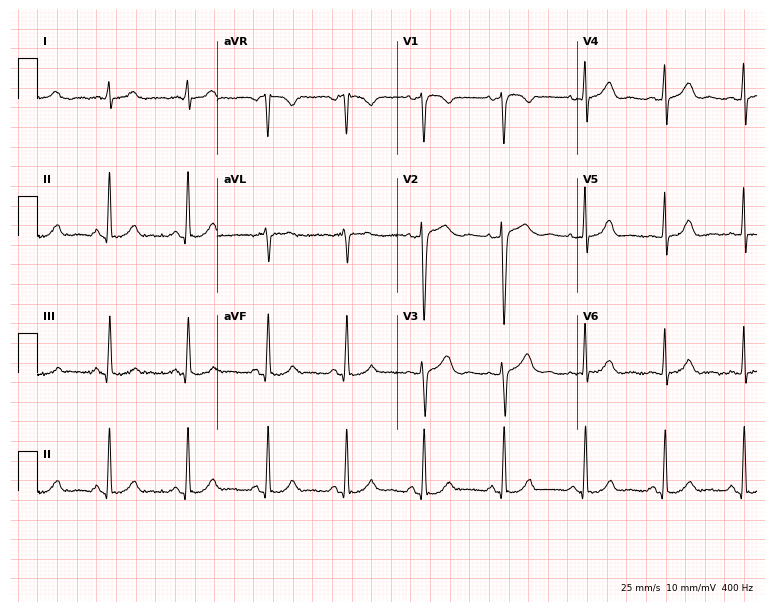
Electrocardiogram (7.3-second recording at 400 Hz), a woman, 38 years old. Overall reading on record: normal ECG.